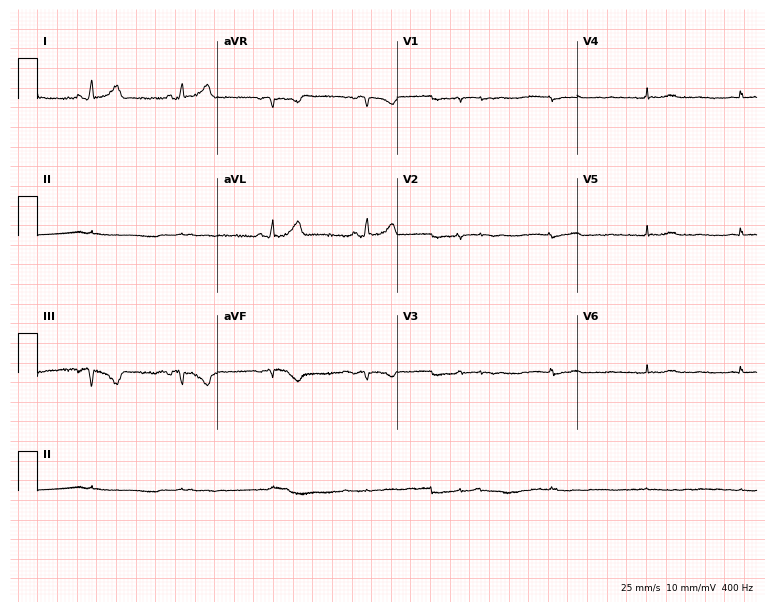
Standard 12-lead ECG recorded from a 17-year-old woman. None of these six findings is recorded: first-degree AV block, right bundle branch block (RBBB), left bundle branch block (LBBB), sinus bradycardia, atrial fibrillation (AF), sinus tachycardia.